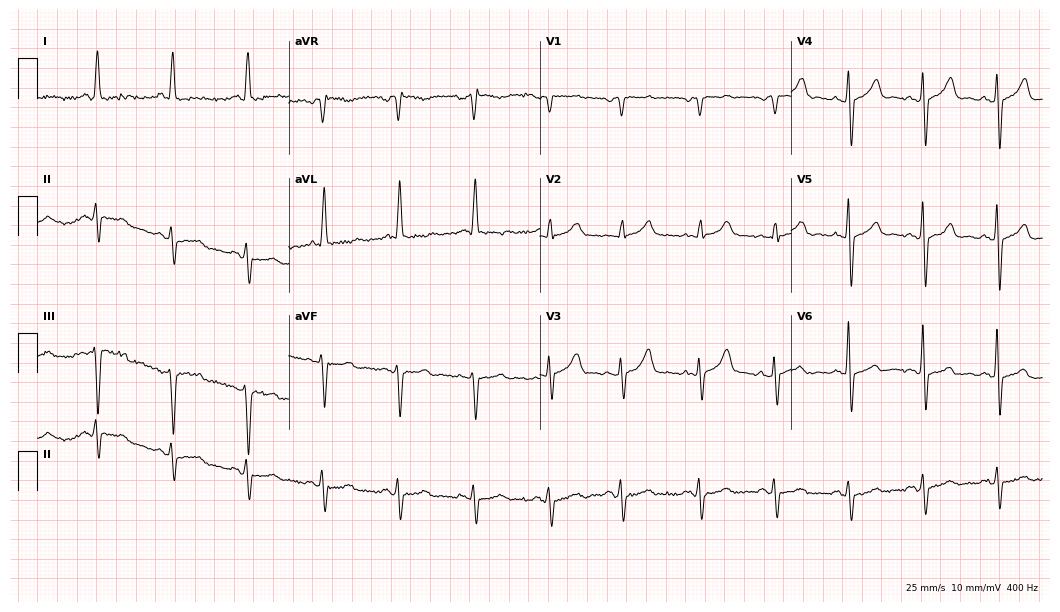
Standard 12-lead ECG recorded from an 81-year-old male patient (10.2-second recording at 400 Hz). None of these six findings is recorded: first-degree AV block, right bundle branch block, left bundle branch block, sinus bradycardia, atrial fibrillation, sinus tachycardia. Only these six findings were labelled.